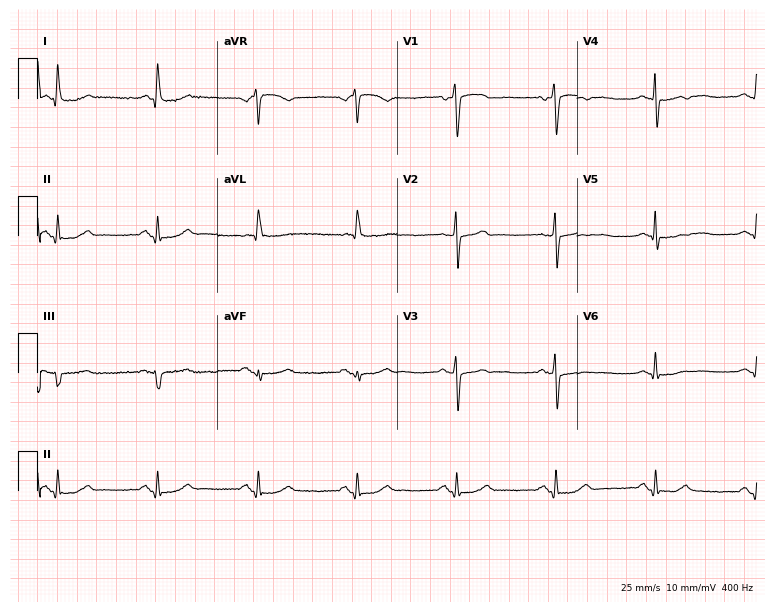
Standard 12-lead ECG recorded from a female patient, 68 years old. None of these six findings is recorded: first-degree AV block, right bundle branch block (RBBB), left bundle branch block (LBBB), sinus bradycardia, atrial fibrillation (AF), sinus tachycardia. Findings outside these six are not listed.